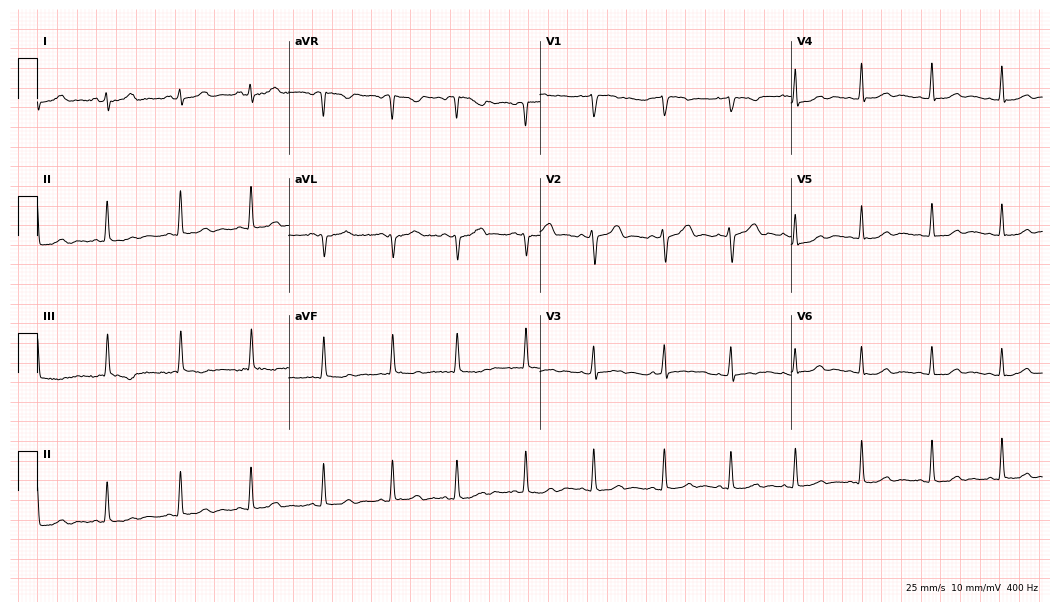
12-lead ECG from a female, 18 years old. Recorded interpretation: within normal limits.